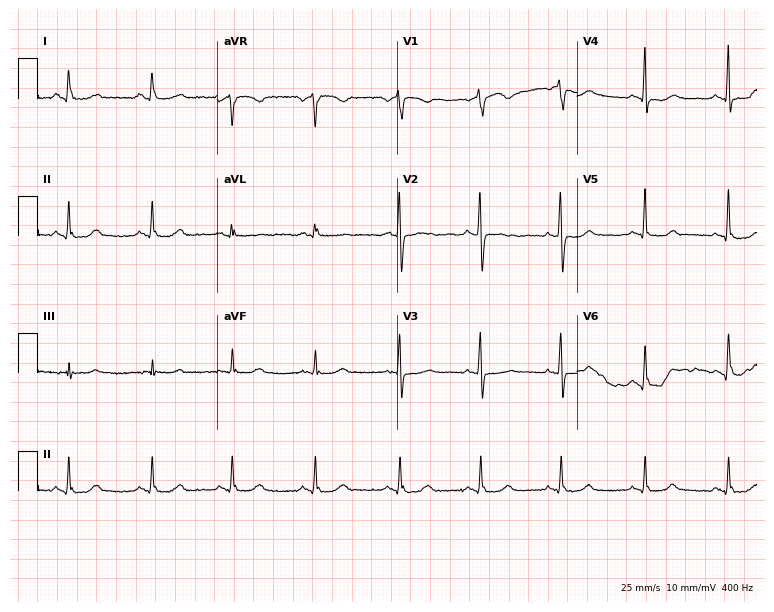
12-lead ECG from a 50-year-old female patient. No first-degree AV block, right bundle branch block, left bundle branch block, sinus bradycardia, atrial fibrillation or sinus tachycardia recorded for this tracing.